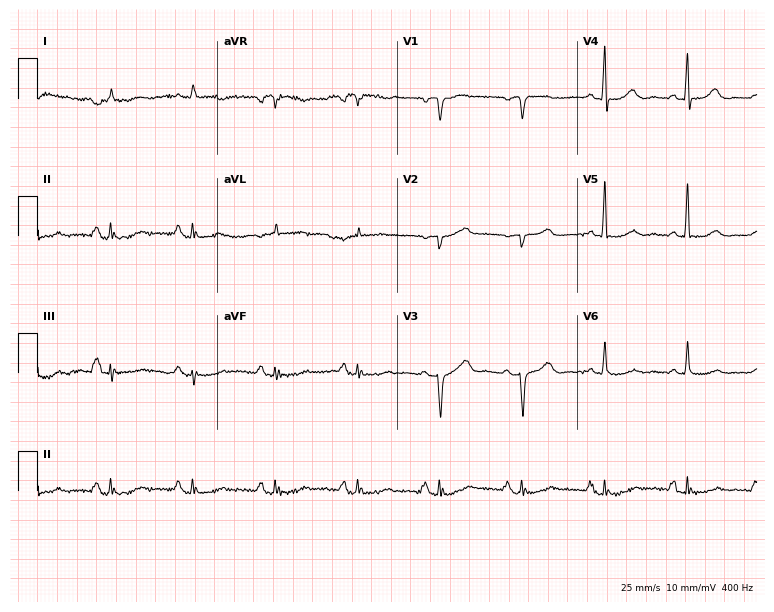
Electrocardiogram (7.3-second recording at 400 Hz), an 81-year-old male patient. Of the six screened findings (first-degree AV block, right bundle branch block, left bundle branch block, sinus bradycardia, atrial fibrillation, sinus tachycardia), none is recorded. Findings outside these six are not listed.